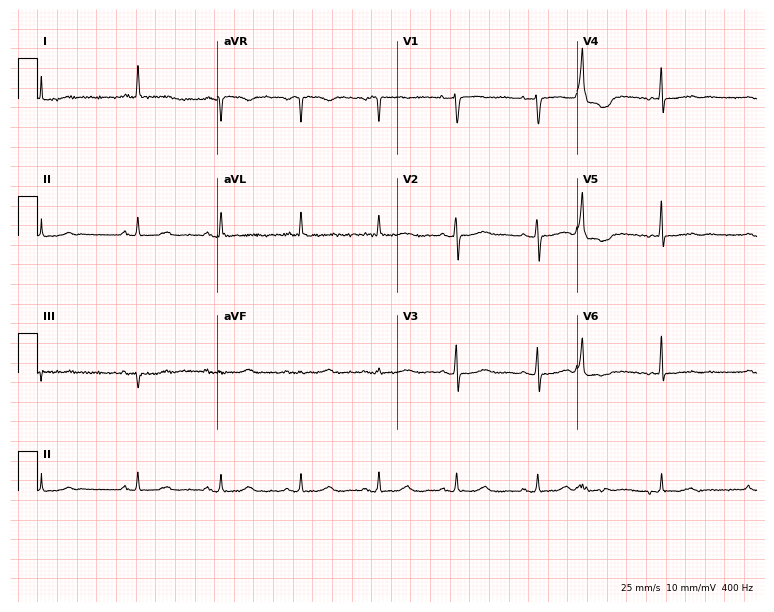
ECG (7.3-second recording at 400 Hz) — an 82-year-old female patient. Screened for six findings — first-degree AV block, right bundle branch block (RBBB), left bundle branch block (LBBB), sinus bradycardia, atrial fibrillation (AF), sinus tachycardia — none is recorded.